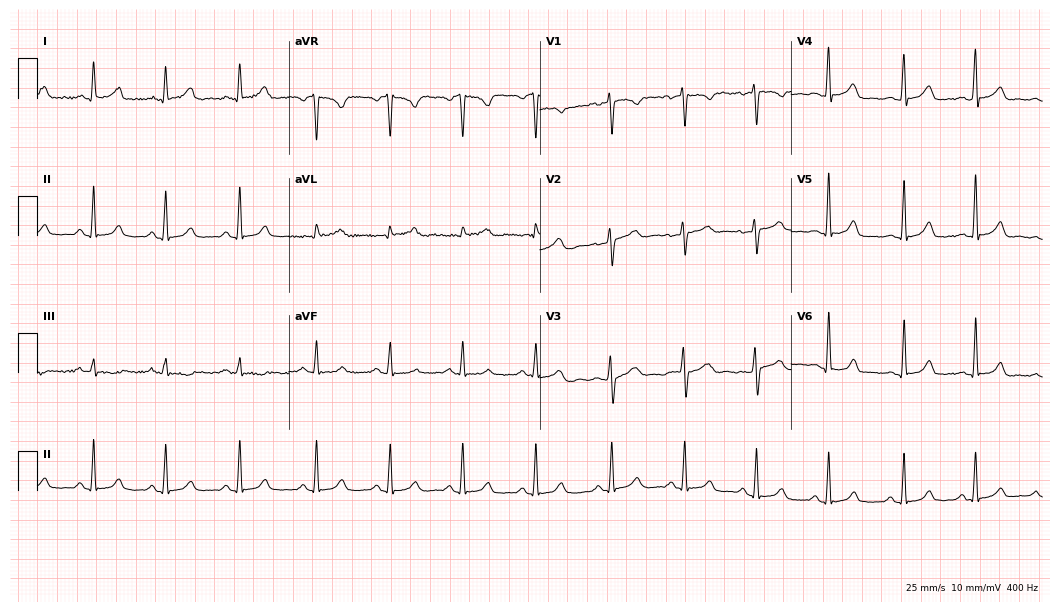
Resting 12-lead electrocardiogram (10.2-second recording at 400 Hz). Patient: a female, 33 years old. Read as a normal ECG.